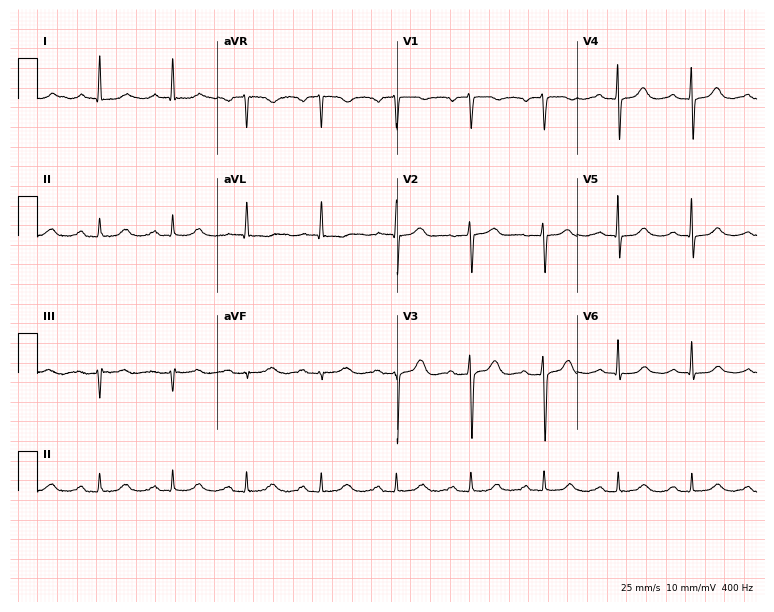
12-lead ECG from a 75-year-old female patient. Shows first-degree AV block.